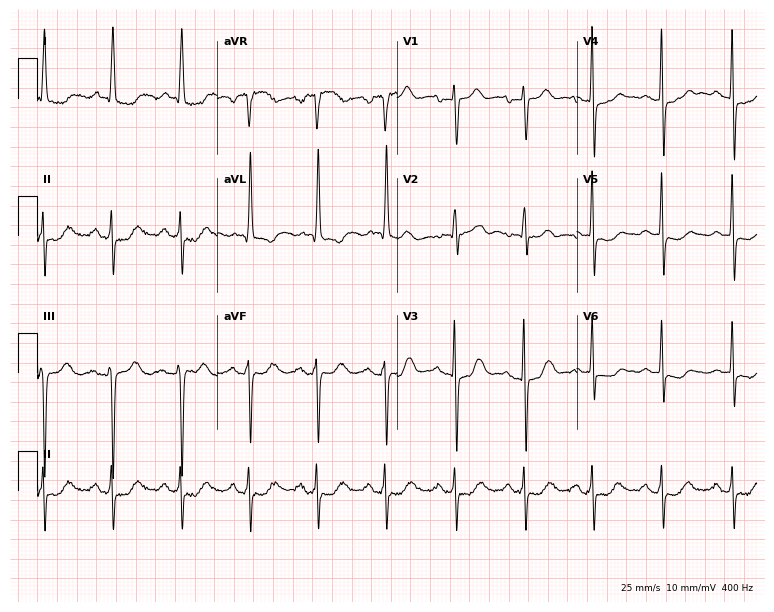
12-lead ECG from a 65-year-old female patient. Screened for six findings — first-degree AV block, right bundle branch block, left bundle branch block, sinus bradycardia, atrial fibrillation, sinus tachycardia — none is recorded. Findings outside these six are not listed.